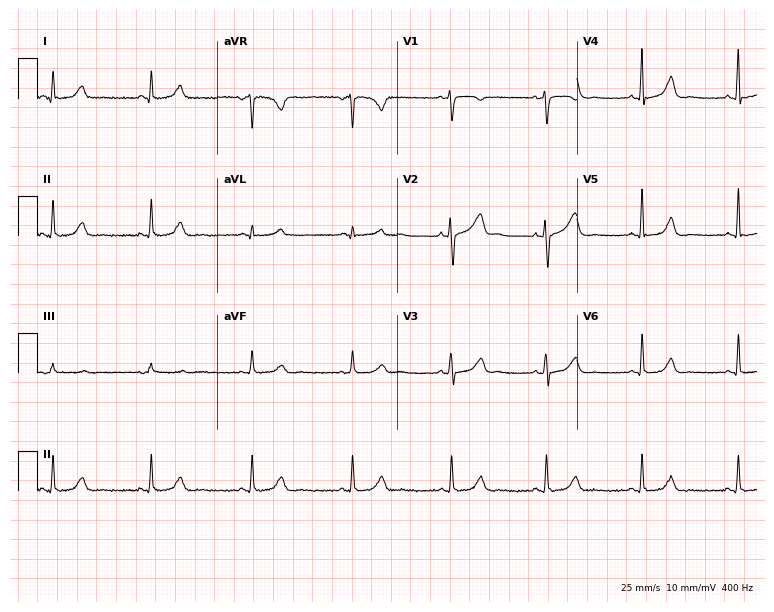
Standard 12-lead ECG recorded from a 48-year-old male. None of these six findings is recorded: first-degree AV block, right bundle branch block (RBBB), left bundle branch block (LBBB), sinus bradycardia, atrial fibrillation (AF), sinus tachycardia.